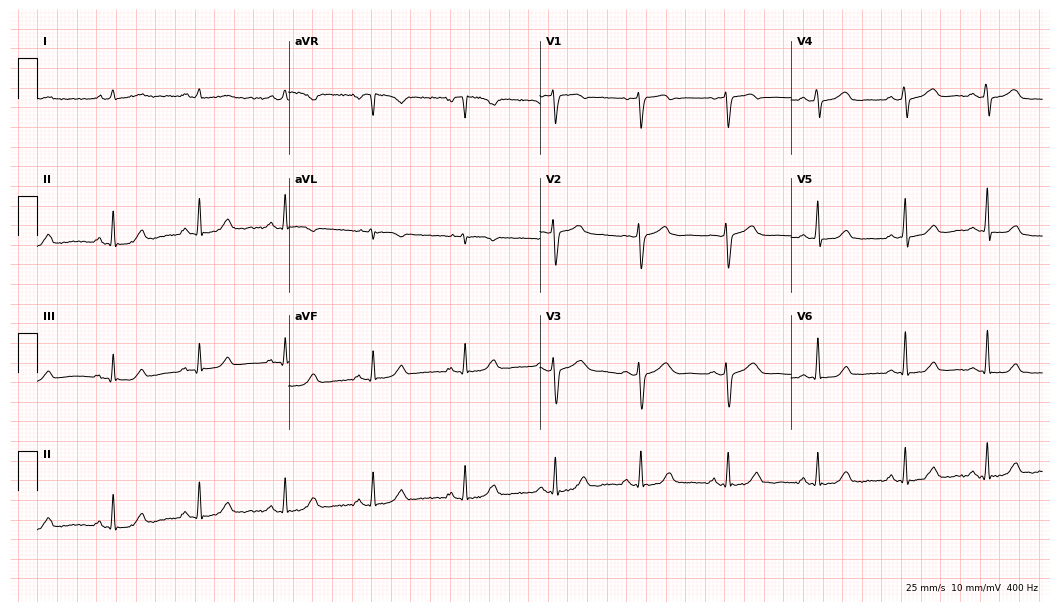
12-lead ECG from a 49-year-old woman. No first-degree AV block, right bundle branch block, left bundle branch block, sinus bradycardia, atrial fibrillation or sinus tachycardia recorded for this tracing.